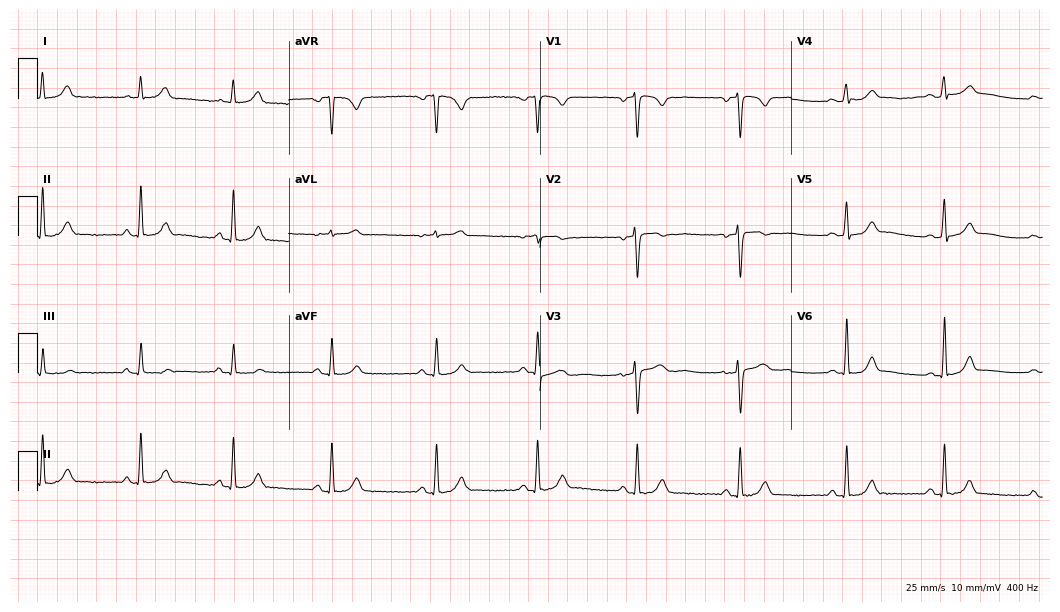
Electrocardiogram, a 40-year-old female patient. Overall reading on record: normal ECG.